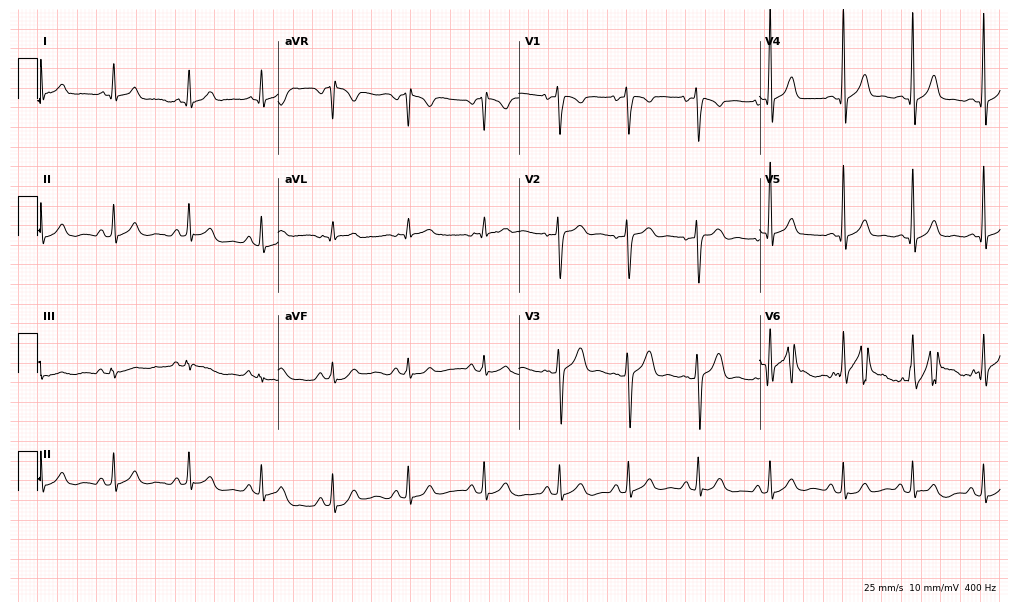
12-lead ECG from a 24-year-old man. Labelled as a normal ECG.